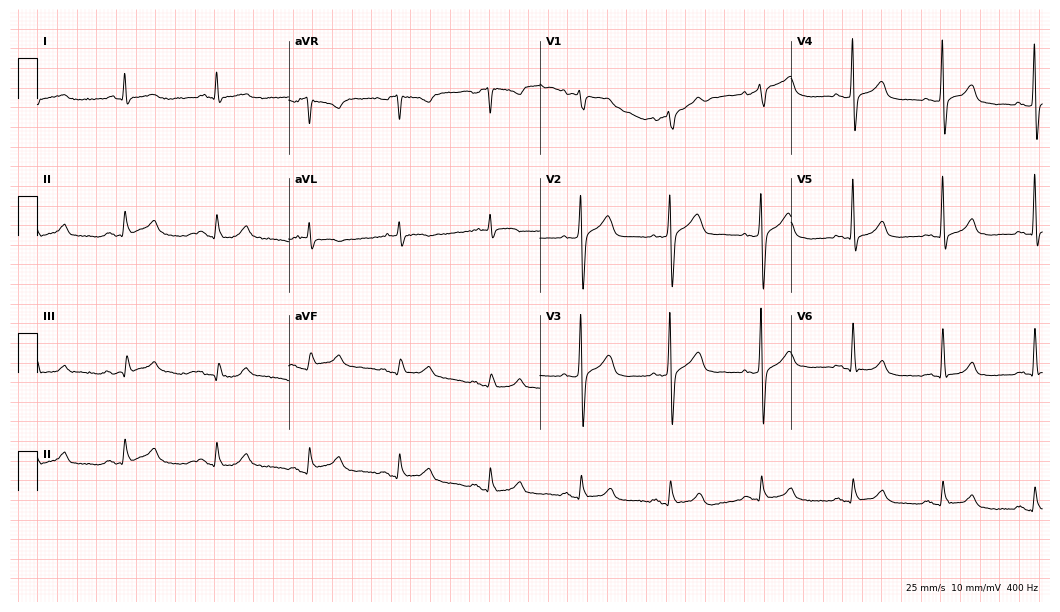
12-lead ECG from a man, 67 years old (10.2-second recording at 400 Hz). Recorded interpretation: within normal limits.